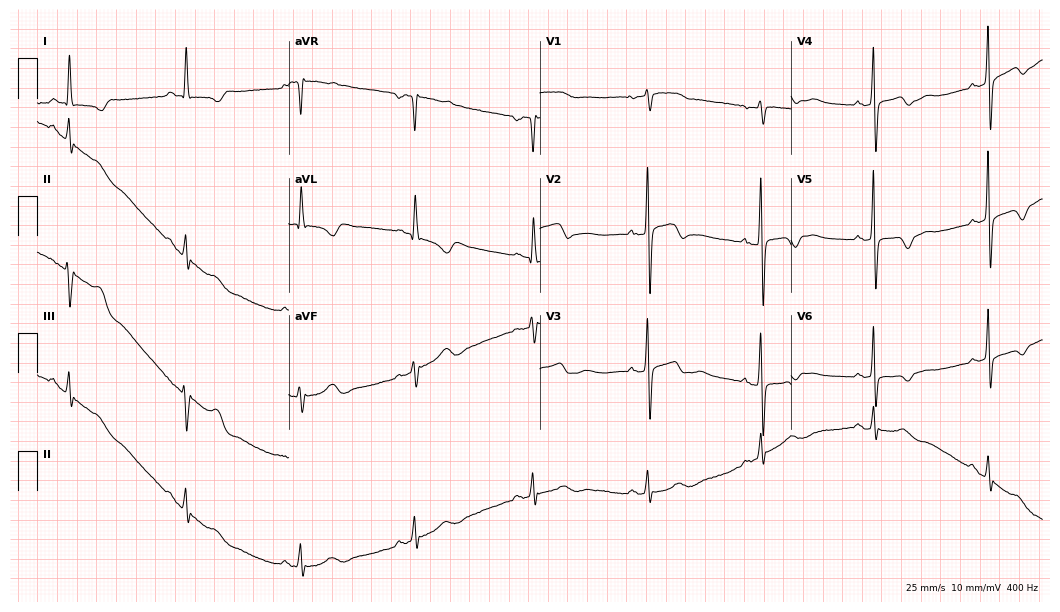
Standard 12-lead ECG recorded from a female, 80 years old. None of these six findings is recorded: first-degree AV block, right bundle branch block, left bundle branch block, sinus bradycardia, atrial fibrillation, sinus tachycardia. Only these six findings were labelled.